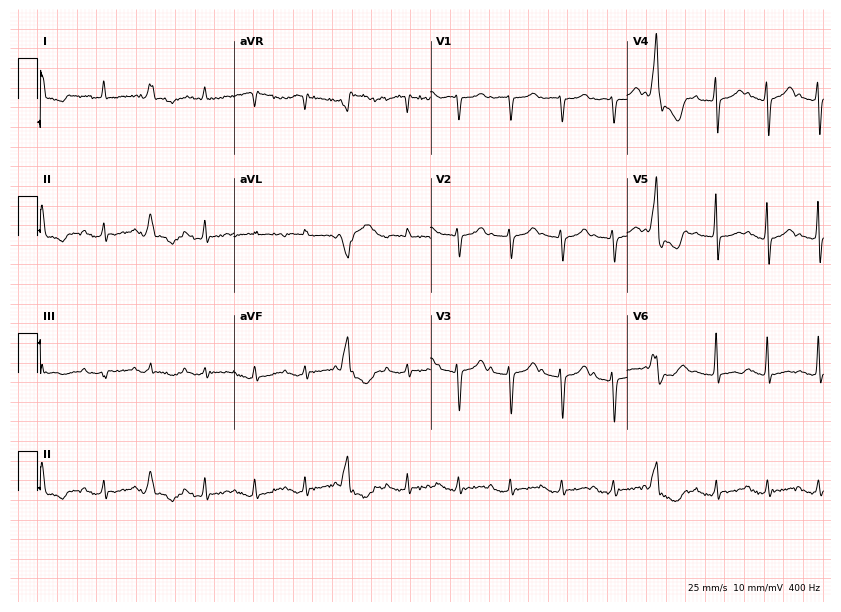
12-lead ECG from an 85-year-old female patient. Shows sinus tachycardia (a sinus rate of 100 beats per minute or more).